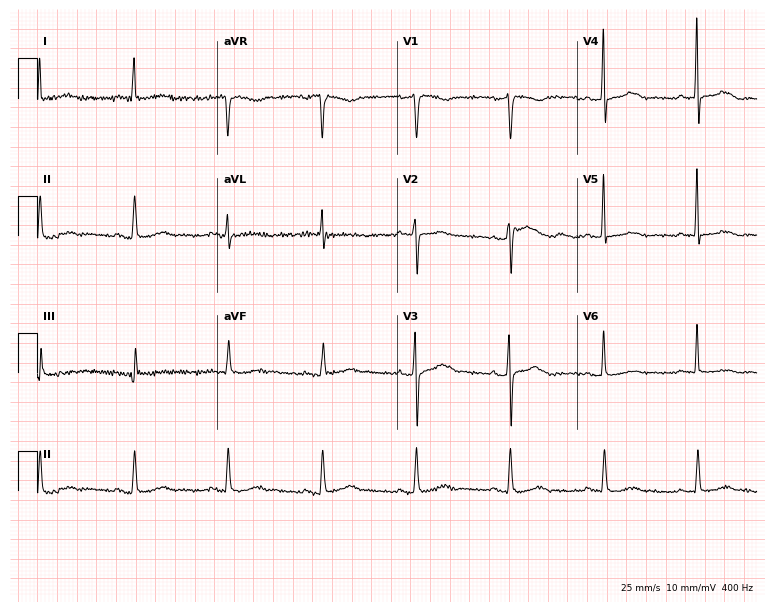
ECG — a 76-year-old female. Labelled as a normal ECG.